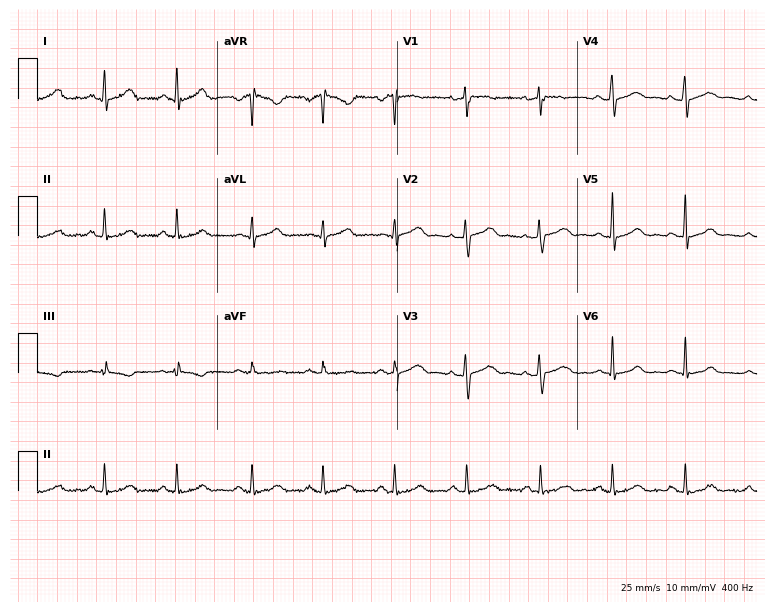
Electrocardiogram, a female, 36 years old. Of the six screened findings (first-degree AV block, right bundle branch block, left bundle branch block, sinus bradycardia, atrial fibrillation, sinus tachycardia), none is recorded.